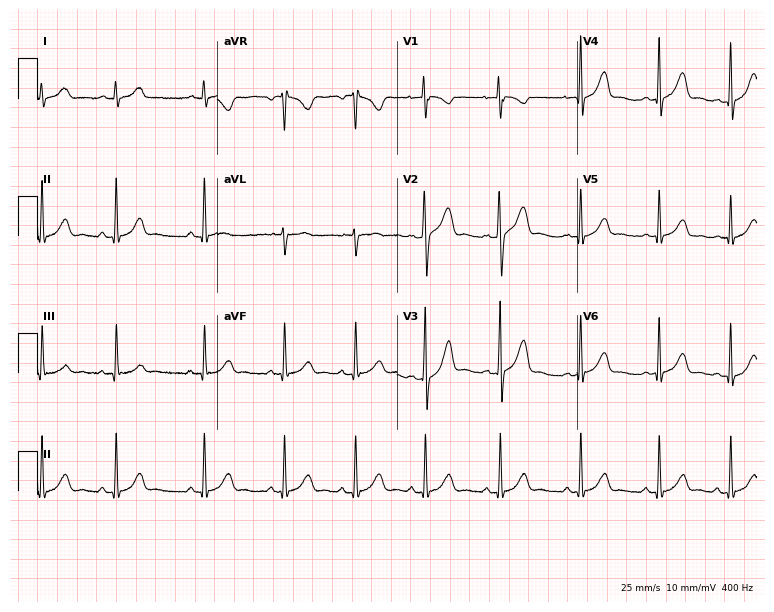
12-lead ECG from an 18-year-old female. Labelled as a normal ECG.